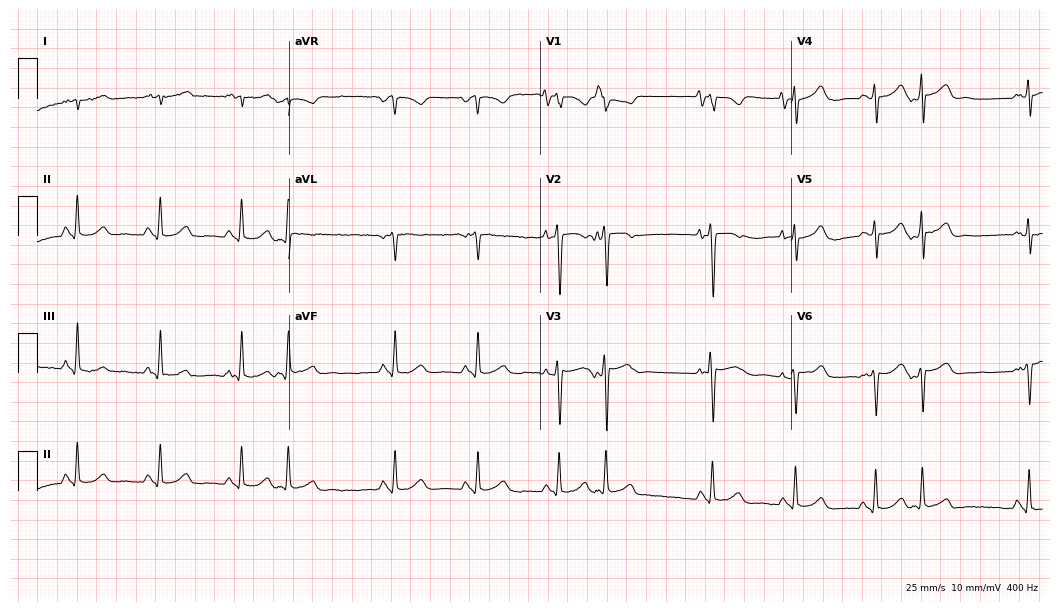
Standard 12-lead ECG recorded from a female, 84 years old. None of these six findings is recorded: first-degree AV block, right bundle branch block, left bundle branch block, sinus bradycardia, atrial fibrillation, sinus tachycardia. Findings outside these six are not listed.